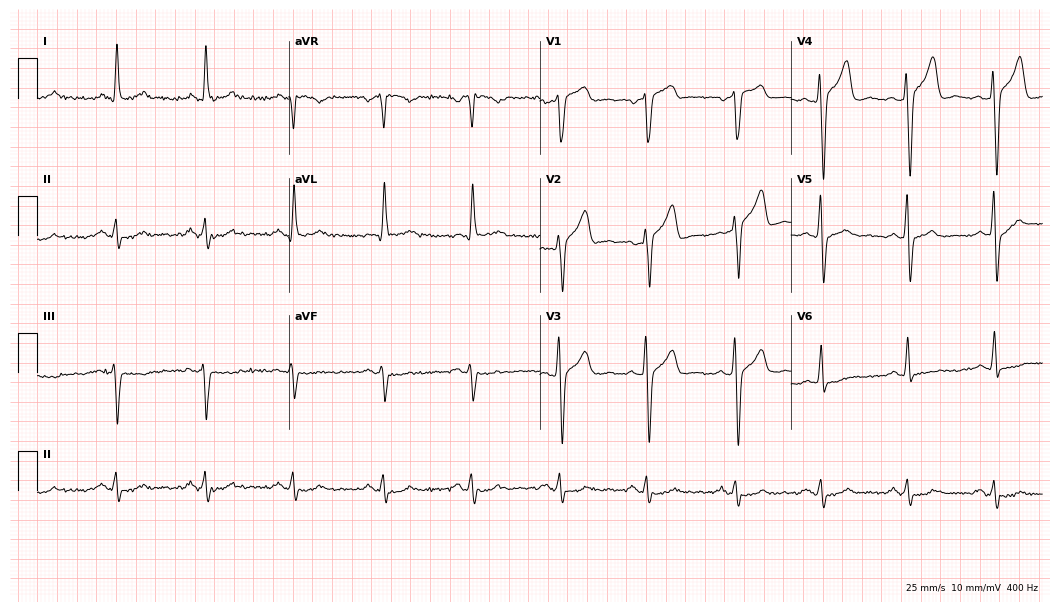
Resting 12-lead electrocardiogram (10.2-second recording at 400 Hz). Patient: a 62-year-old woman. None of these six findings is recorded: first-degree AV block, right bundle branch block, left bundle branch block, sinus bradycardia, atrial fibrillation, sinus tachycardia. Only these six findings were labelled.